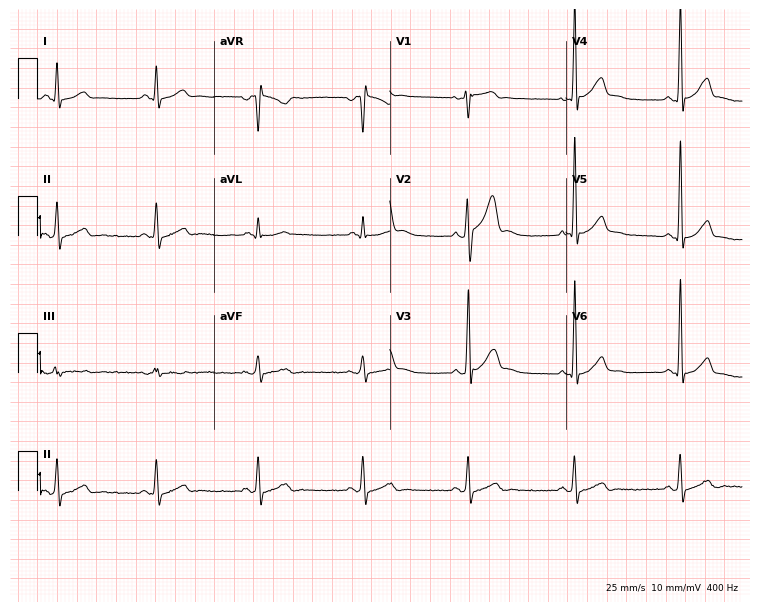
12-lead ECG from a 31-year-old male. Labelled as a normal ECG.